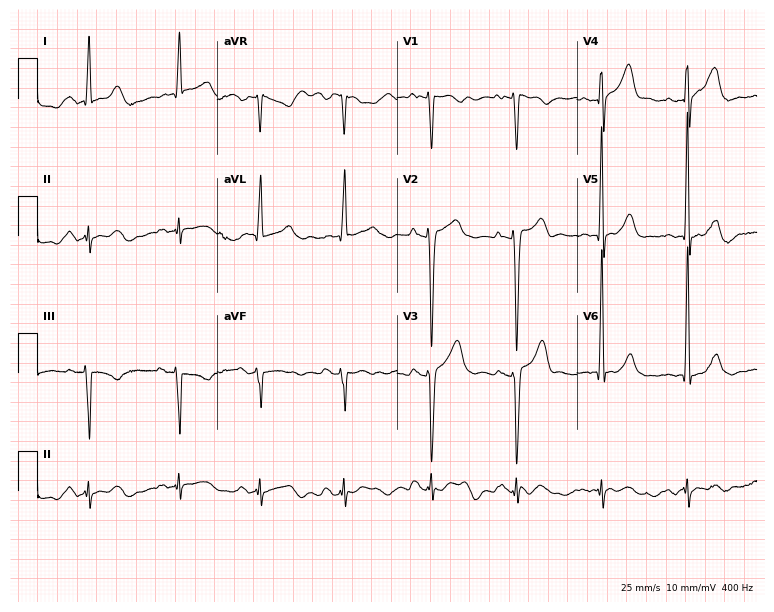
Standard 12-lead ECG recorded from a male patient, 80 years old. None of these six findings is recorded: first-degree AV block, right bundle branch block, left bundle branch block, sinus bradycardia, atrial fibrillation, sinus tachycardia. Only these six findings were labelled.